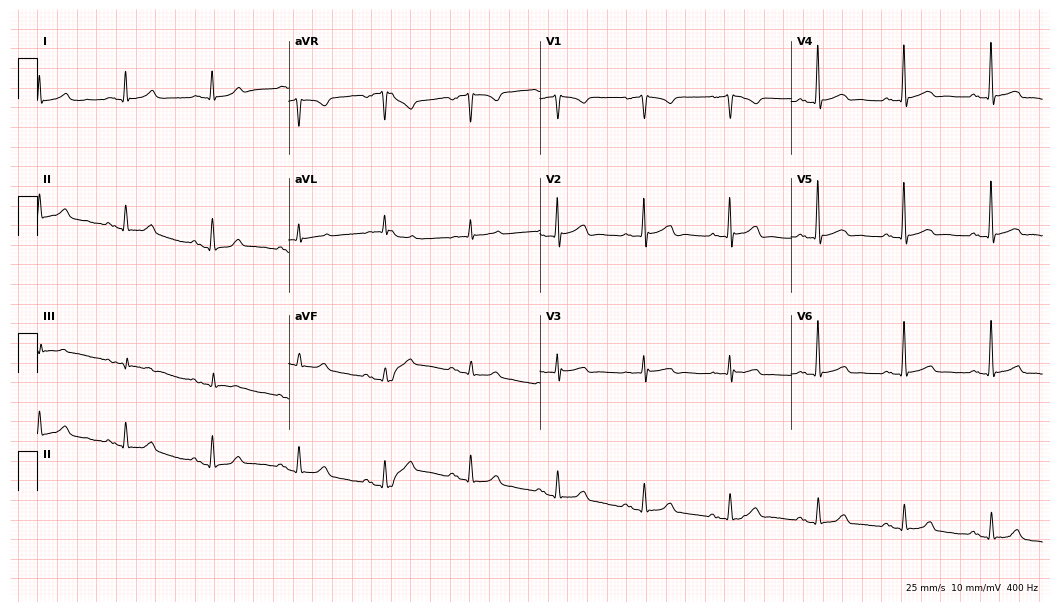
Electrocardiogram (10.2-second recording at 400 Hz), a 75-year-old male. Of the six screened findings (first-degree AV block, right bundle branch block, left bundle branch block, sinus bradycardia, atrial fibrillation, sinus tachycardia), none is recorded. Other findings, if any, are not listed.